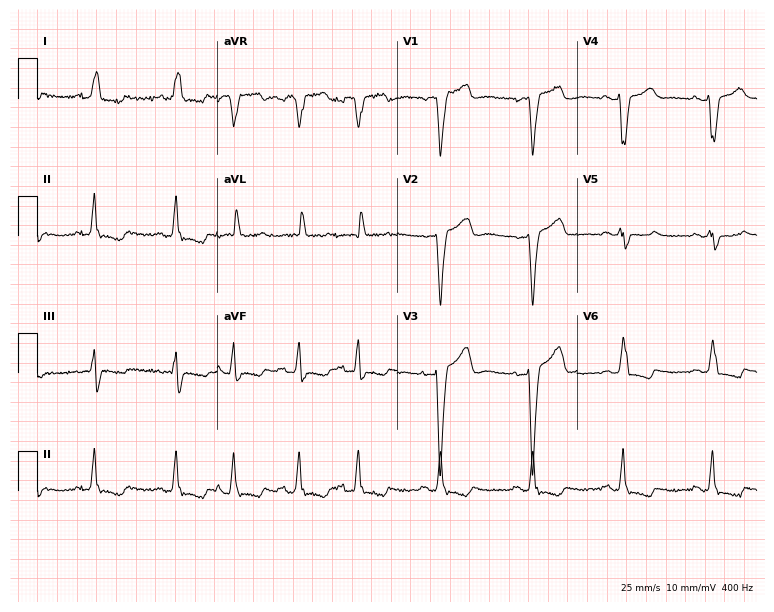
Electrocardiogram, a 78-year-old female patient. Interpretation includes left bundle branch block.